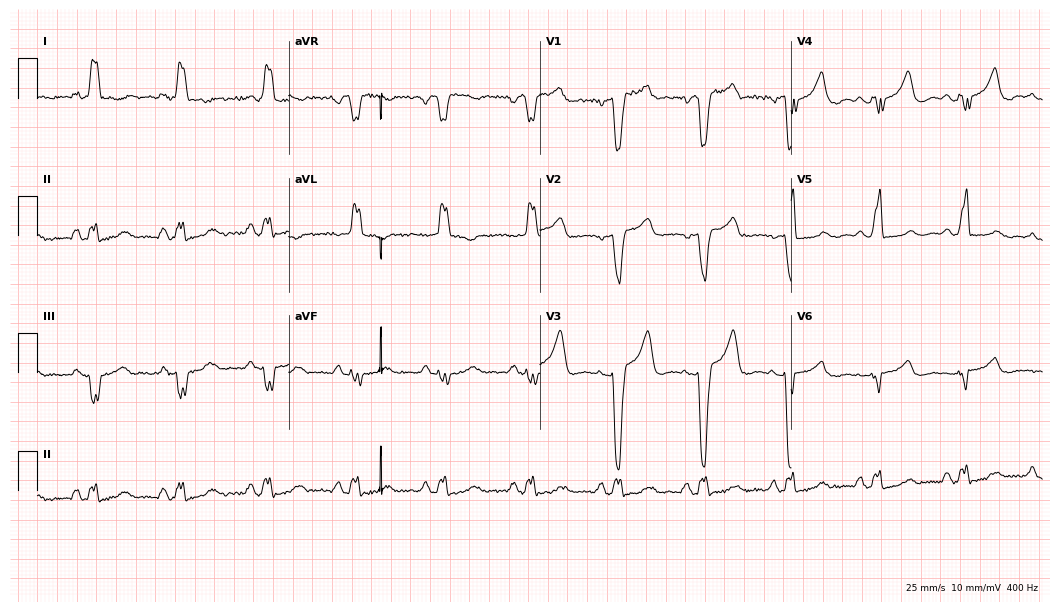
12-lead ECG (10.2-second recording at 400 Hz) from a 59-year-old female. Findings include left bundle branch block.